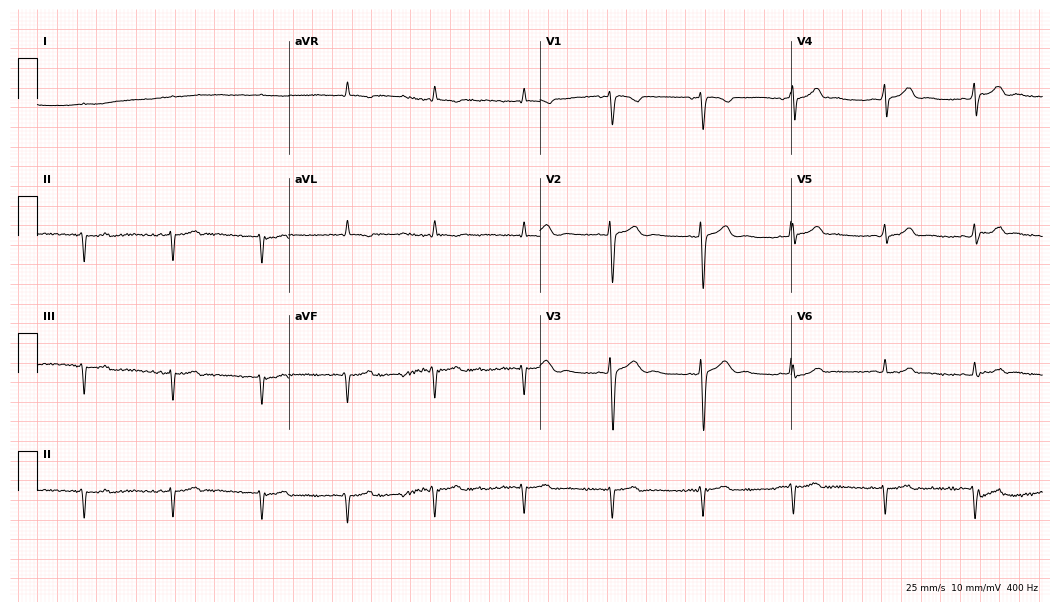
Resting 12-lead electrocardiogram. Patient: a female, 36 years old. None of these six findings is recorded: first-degree AV block, right bundle branch block, left bundle branch block, sinus bradycardia, atrial fibrillation, sinus tachycardia.